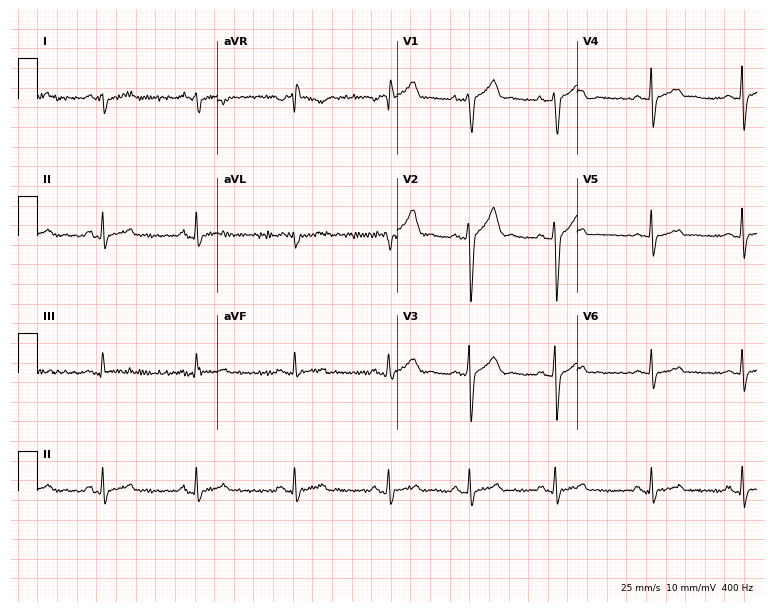
ECG (7.3-second recording at 400 Hz) — a male patient, 23 years old. Labelled as a normal ECG.